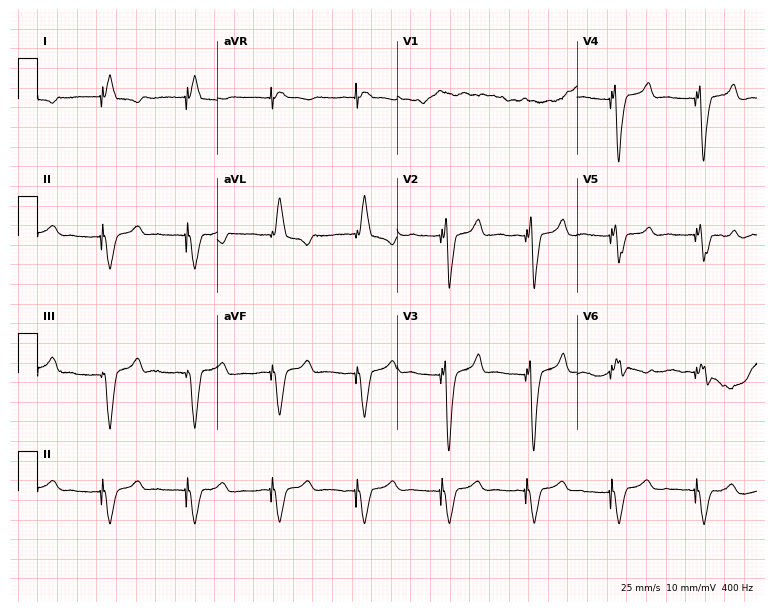
Resting 12-lead electrocardiogram. Patient: a male, 78 years old. None of these six findings is recorded: first-degree AV block, right bundle branch block (RBBB), left bundle branch block (LBBB), sinus bradycardia, atrial fibrillation (AF), sinus tachycardia. Only these six findings were labelled.